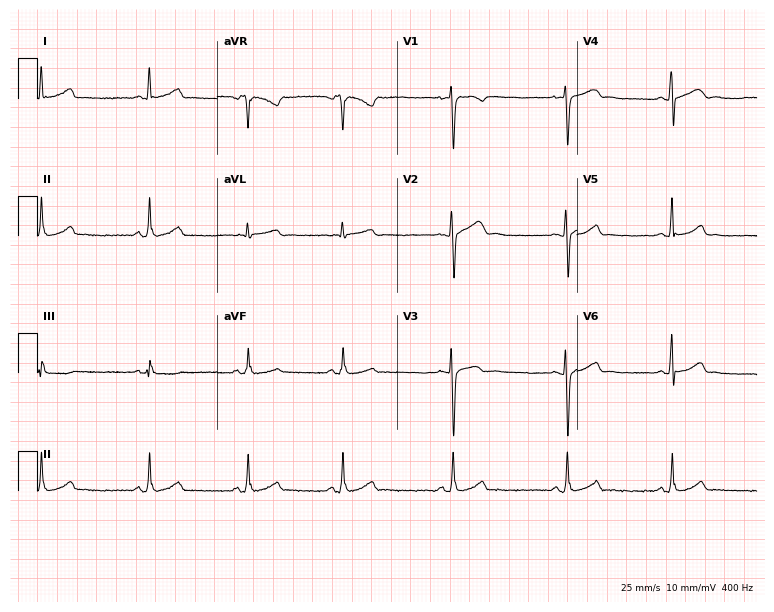
ECG (7.3-second recording at 400 Hz) — a female, 24 years old. Screened for six findings — first-degree AV block, right bundle branch block (RBBB), left bundle branch block (LBBB), sinus bradycardia, atrial fibrillation (AF), sinus tachycardia — none is recorded.